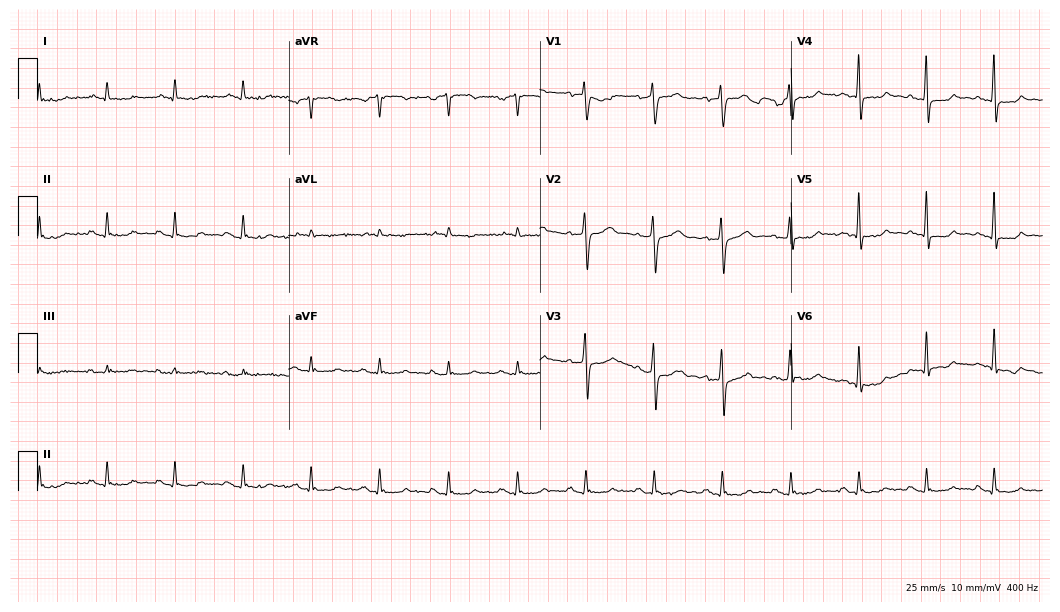
Resting 12-lead electrocardiogram. Patient: a male, 60 years old. Read as a normal ECG.